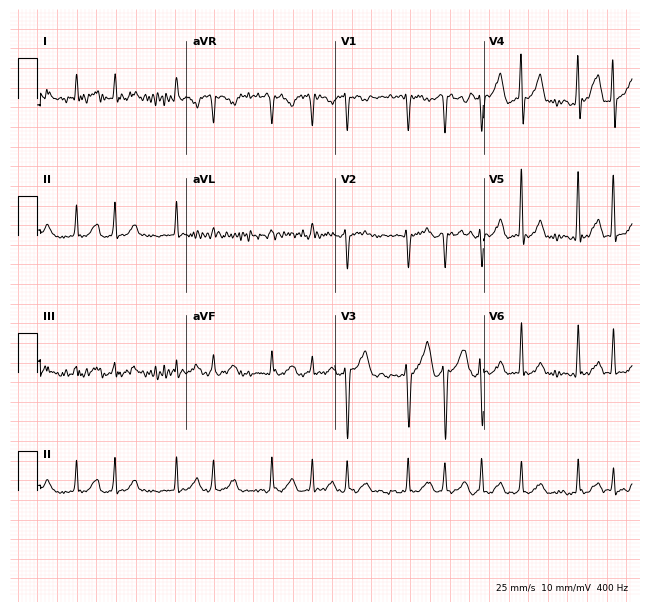
12-lead ECG (6.1-second recording at 400 Hz) from a male, 53 years old. Findings include atrial fibrillation (AF).